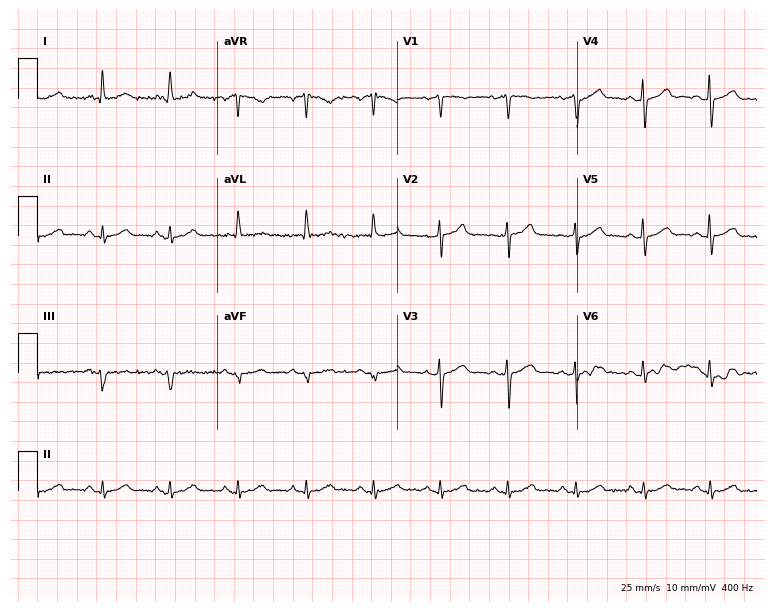
12-lead ECG from a female patient, 83 years old (7.3-second recording at 400 Hz). Recorded interpretation: within normal limits.